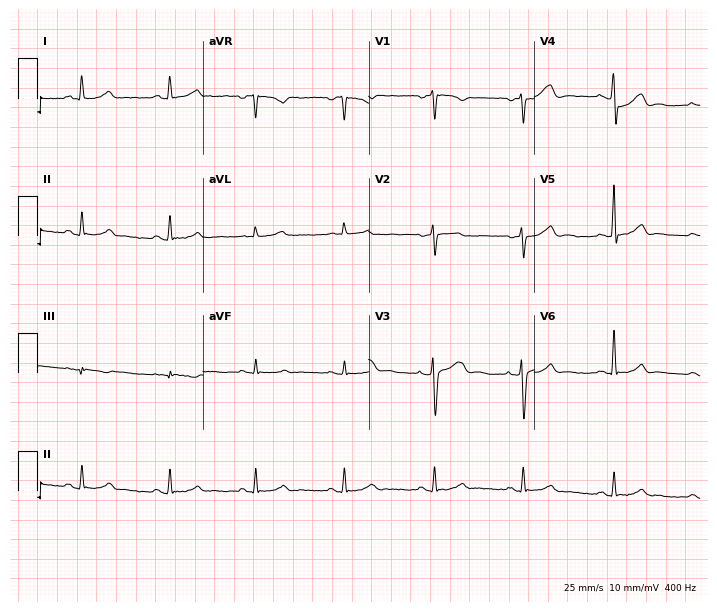
12-lead ECG from a 42-year-old woman (6.8-second recording at 400 Hz). Recorded interpretation: within normal limits.